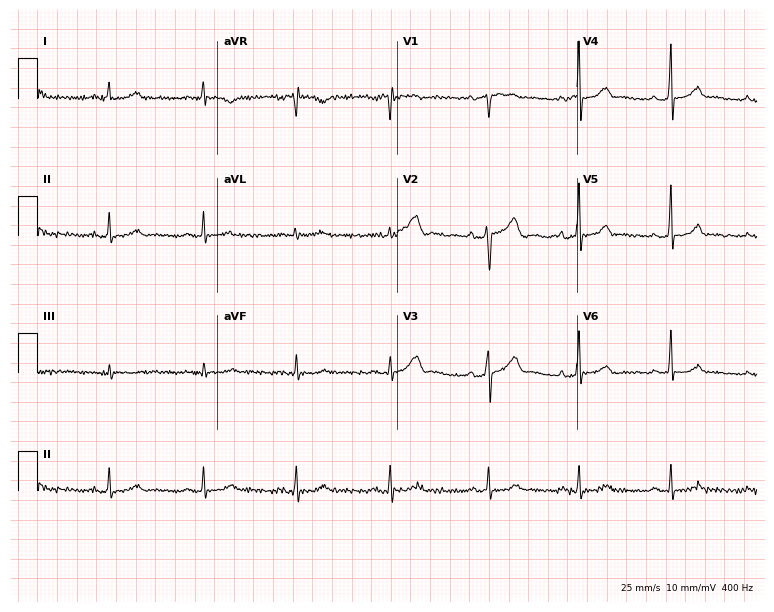
Resting 12-lead electrocardiogram (7.3-second recording at 400 Hz). Patient: a 52-year-old male. Read as a normal ECG.